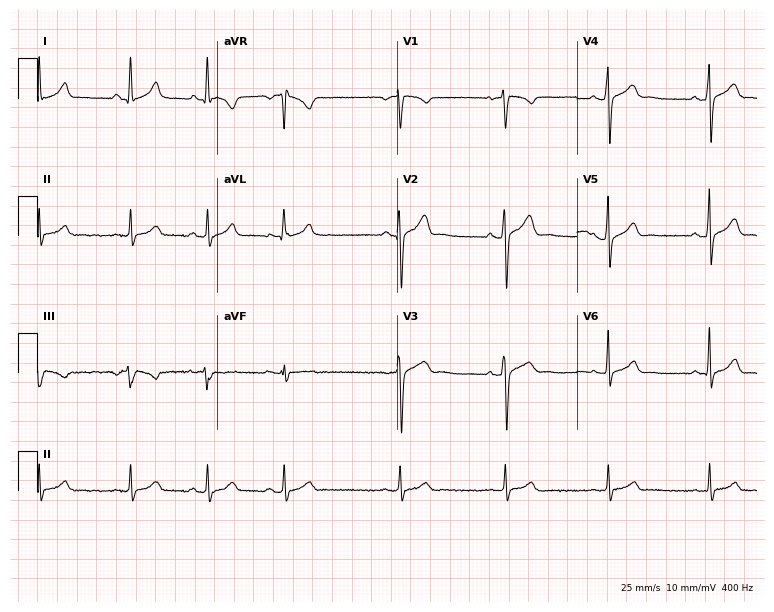
ECG — a 27-year-old male patient. Screened for six findings — first-degree AV block, right bundle branch block (RBBB), left bundle branch block (LBBB), sinus bradycardia, atrial fibrillation (AF), sinus tachycardia — none is recorded. Only these six findings were labelled.